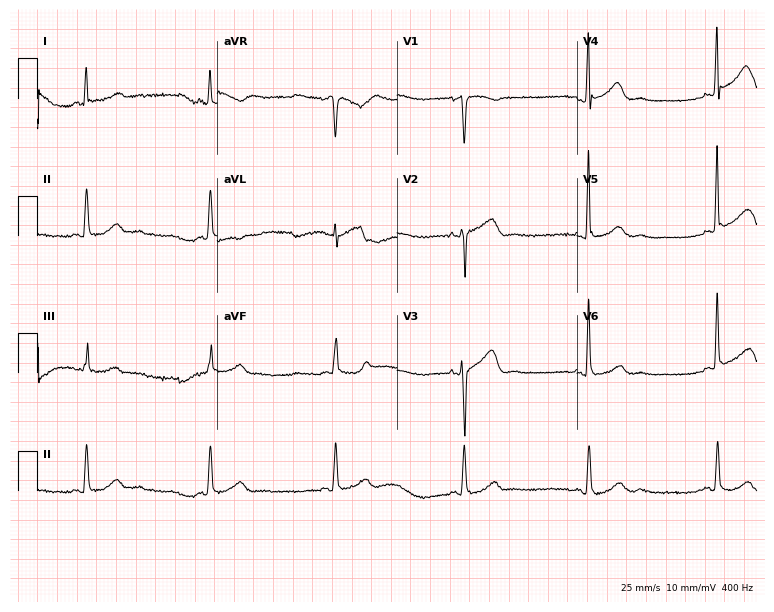
ECG — a female patient, 51 years old. Findings include sinus bradycardia (a sinus rate of 50 beats per minute or less).